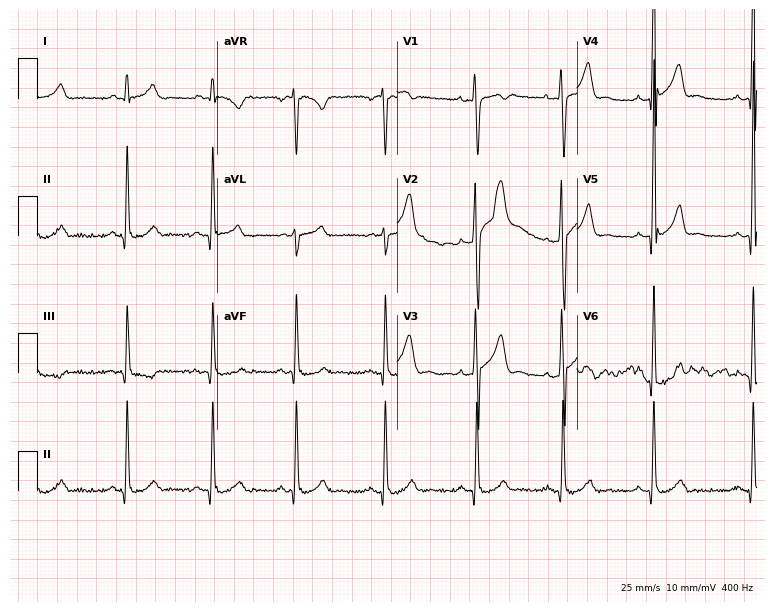
Resting 12-lead electrocardiogram (7.3-second recording at 400 Hz). Patient: a 23-year-old man. Read as a normal ECG.